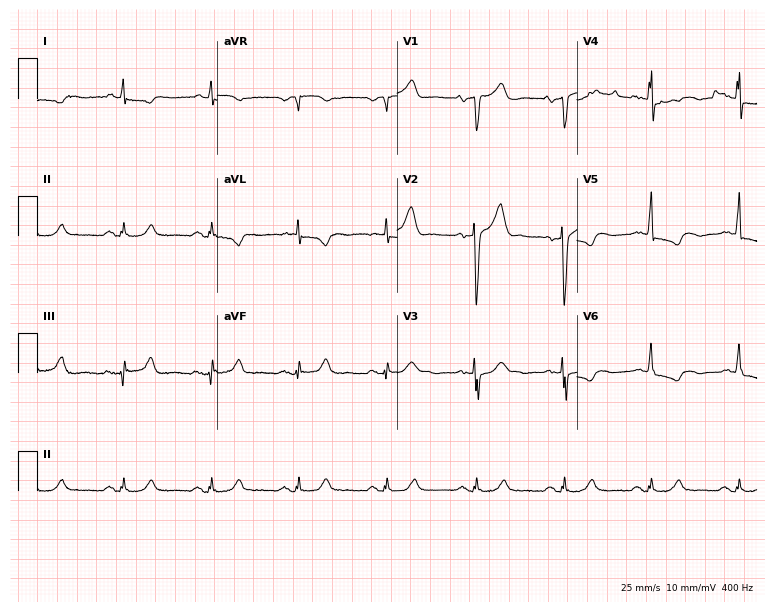
Standard 12-lead ECG recorded from a 68-year-old man (7.3-second recording at 400 Hz). Read as a normal ECG.